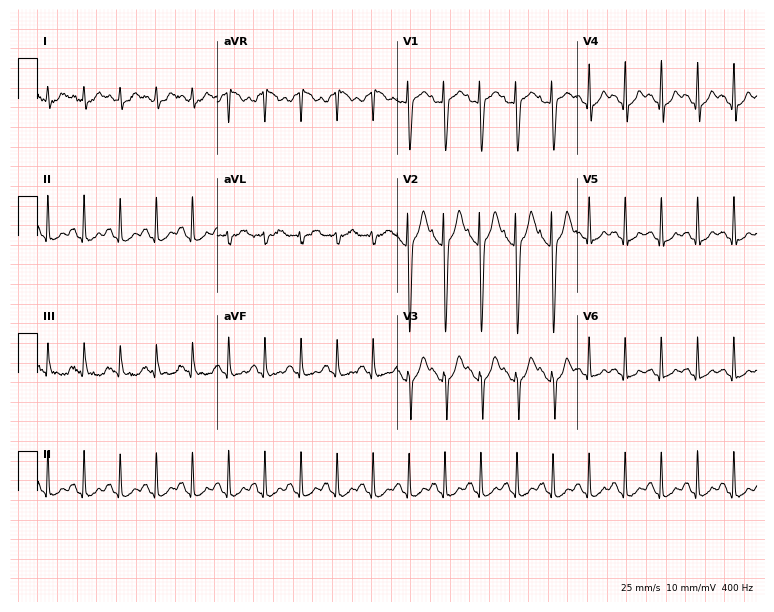
ECG (7.3-second recording at 400 Hz) — a male, 23 years old. Findings include sinus tachycardia (a sinus rate of 100 beats per minute or more).